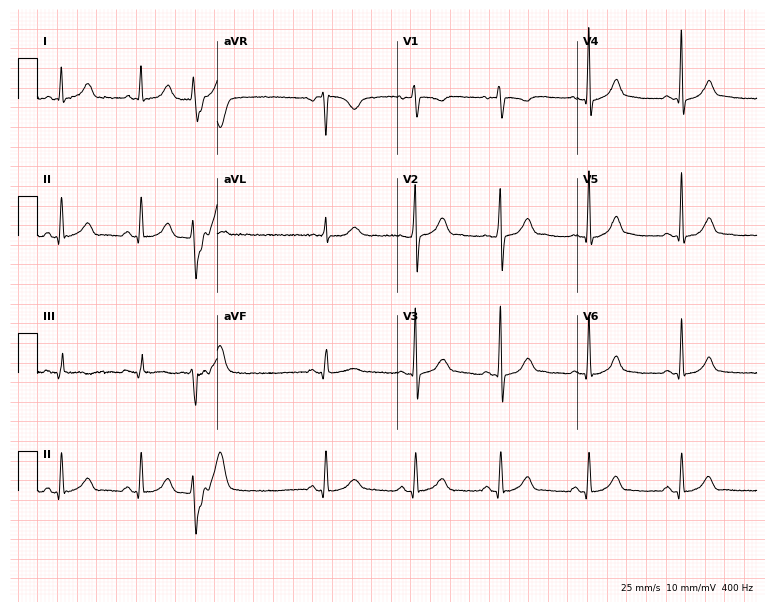
12-lead ECG (7.3-second recording at 400 Hz) from a 30-year-old man. Screened for six findings — first-degree AV block, right bundle branch block, left bundle branch block, sinus bradycardia, atrial fibrillation, sinus tachycardia — none is recorded. Other findings, if any, are not listed.